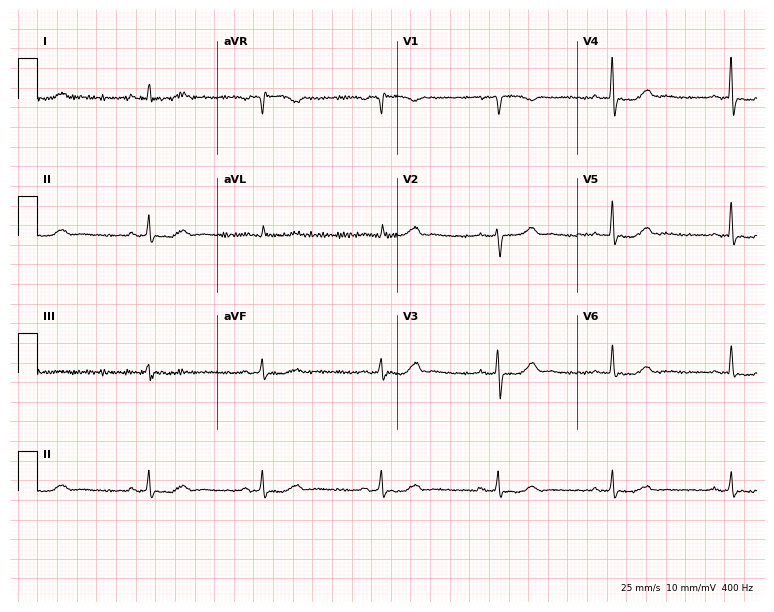
Electrocardiogram, a 47-year-old female. Of the six screened findings (first-degree AV block, right bundle branch block (RBBB), left bundle branch block (LBBB), sinus bradycardia, atrial fibrillation (AF), sinus tachycardia), none is recorded. Findings outside these six are not listed.